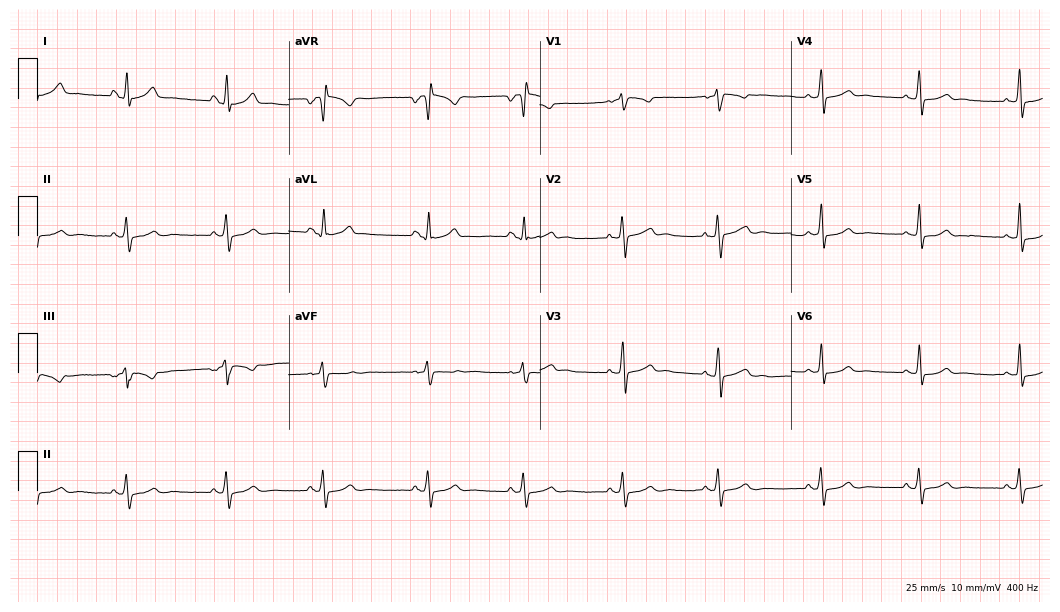
12-lead ECG from a female patient, 24 years old. Recorded interpretation: within normal limits.